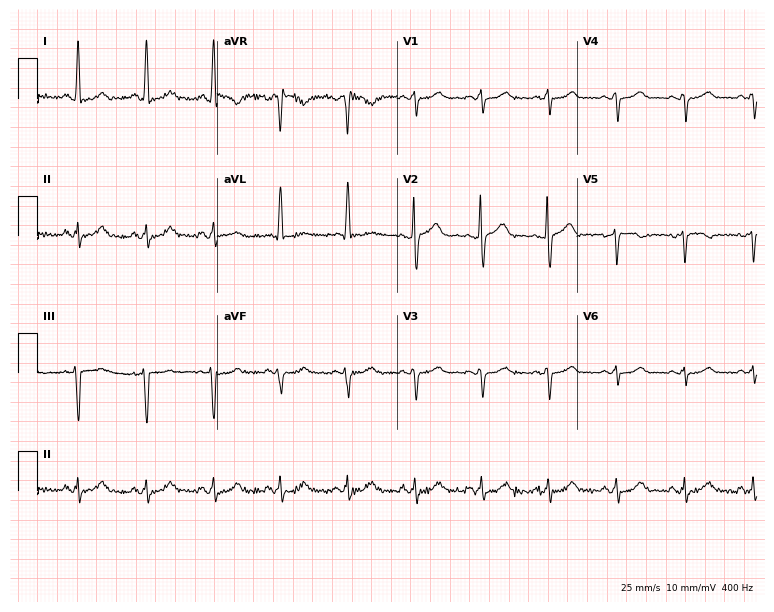
Standard 12-lead ECG recorded from a female patient, 51 years old (7.3-second recording at 400 Hz). None of these six findings is recorded: first-degree AV block, right bundle branch block (RBBB), left bundle branch block (LBBB), sinus bradycardia, atrial fibrillation (AF), sinus tachycardia. Only these six findings were labelled.